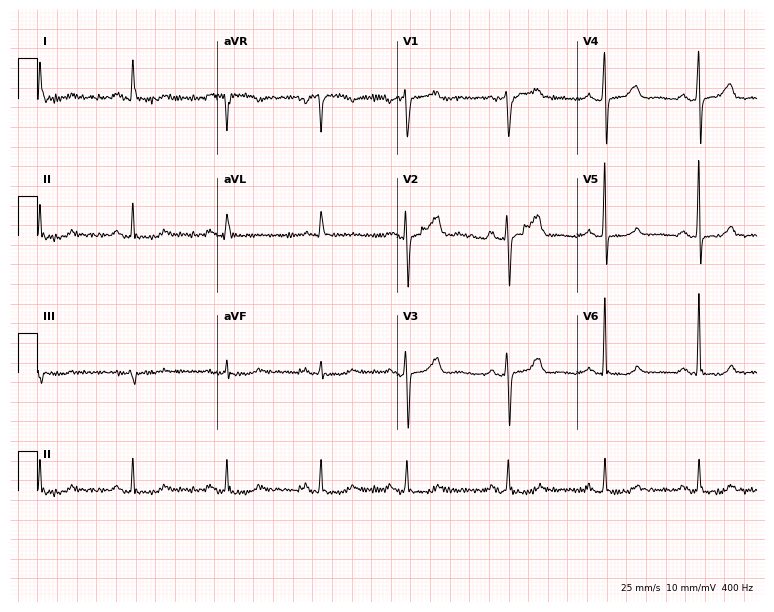
ECG (7.3-second recording at 400 Hz) — a 66-year-old female patient. Screened for six findings — first-degree AV block, right bundle branch block (RBBB), left bundle branch block (LBBB), sinus bradycardia, atrial fibrillation (AF), sinus tachycardia — none is recorded. Findings outside these six are not listed.